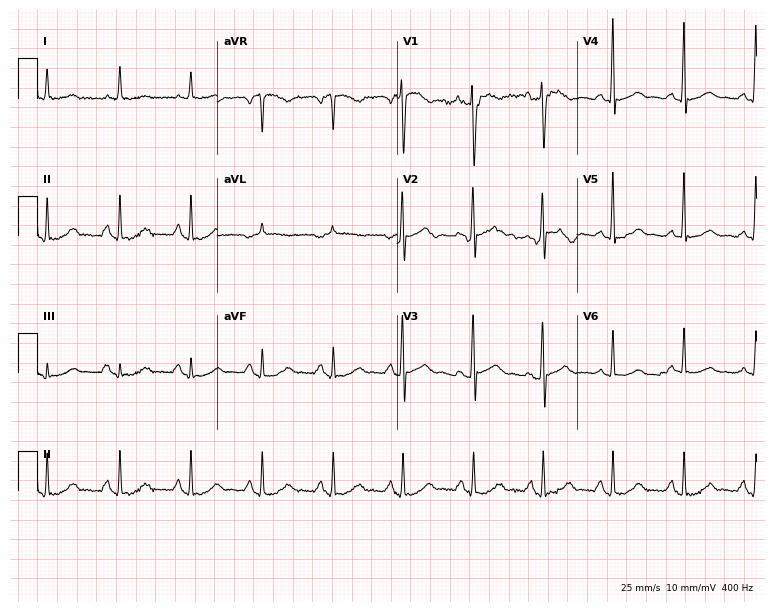
Standard 12-lead ECG recorded from a 68-year-old female patient. None of these six findings is recorded: first-degree AV block, right bundle branch block, left bundle branch block, sinus bradycardia, atrial fibrillation, sinus tachycardia.